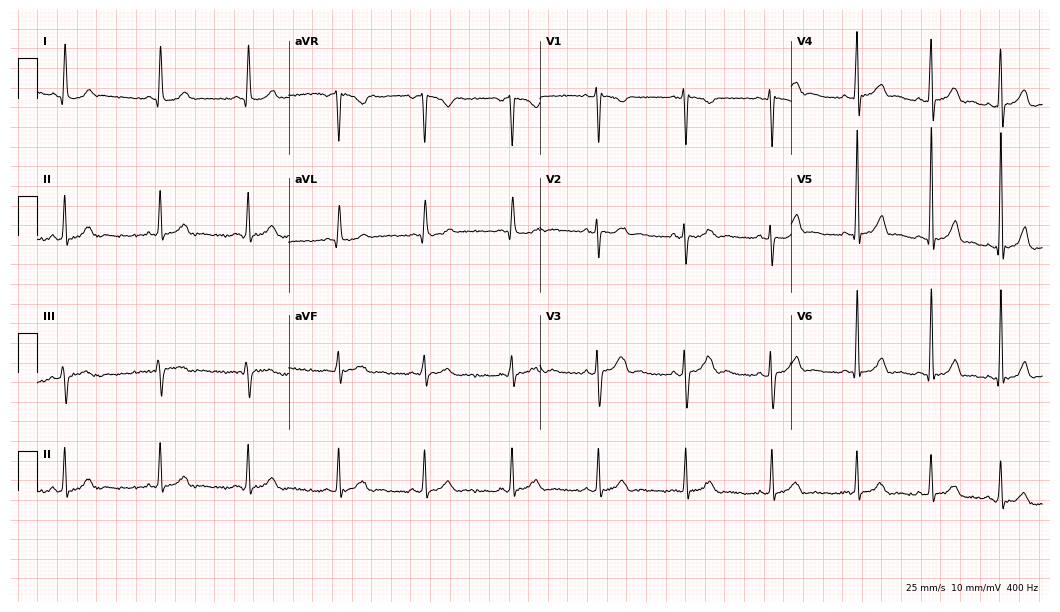
12-lead ECG (10.2-second recording at 400 Hz) from a 17-year-old female. Screened for six findings — first-degree AV block, right bundle branch block (RBBB), left bundle branch block (LBBB), sinus bradycardia, atrial fibrillation (AF), sinus tachycardia — none is recorded. Findings outside these six are not listed.